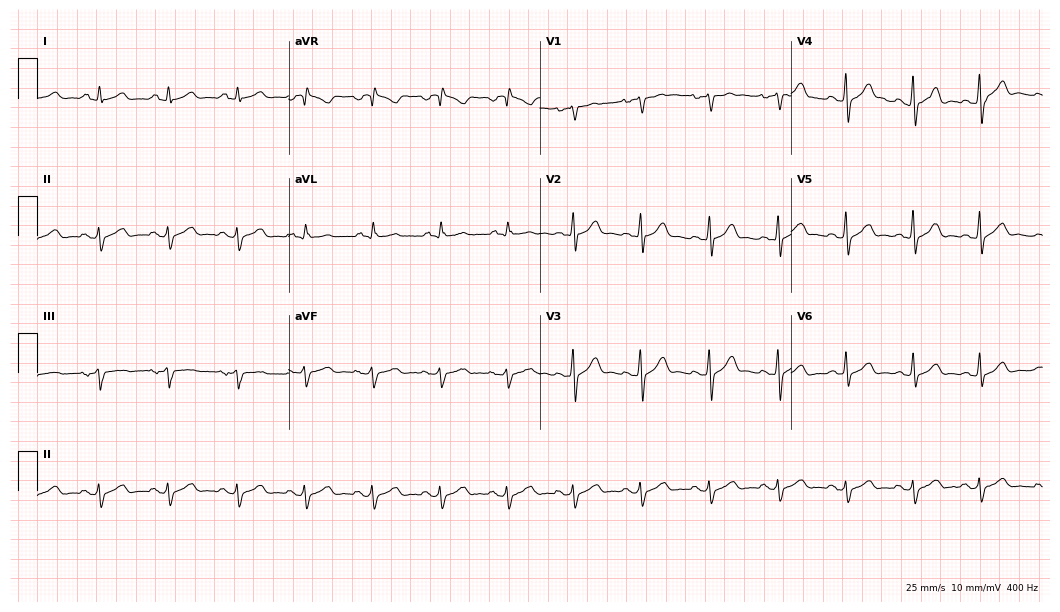
Resting 12-lead electrocardiogram. Patient: a male, 43 years old. None of these six findings is recorded: first-degree AV block, right bundle branch block, left bundle branch block, sinus bradycardia, atrial fibrillation, sinus tachycardia.